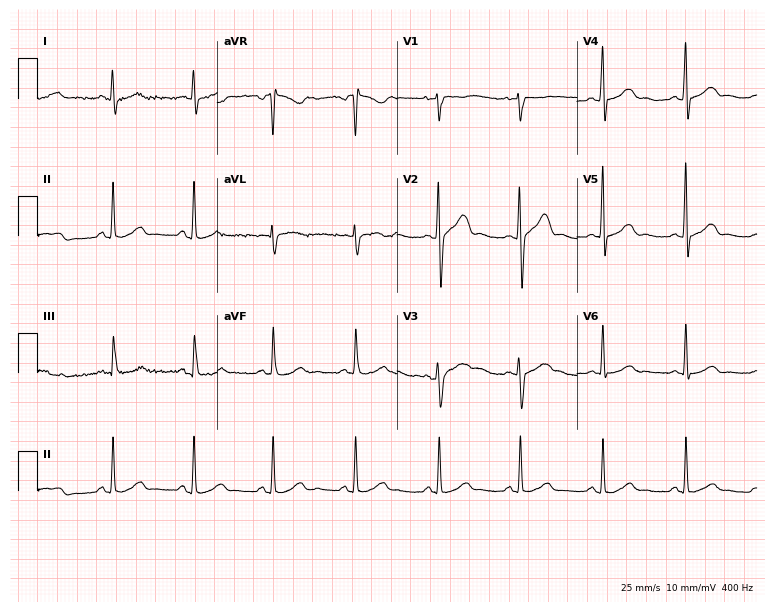
12-lead ECG from a male, 36 years old (7.3-second recording at 400 Hz). Recorded interpretation: within normal limits.